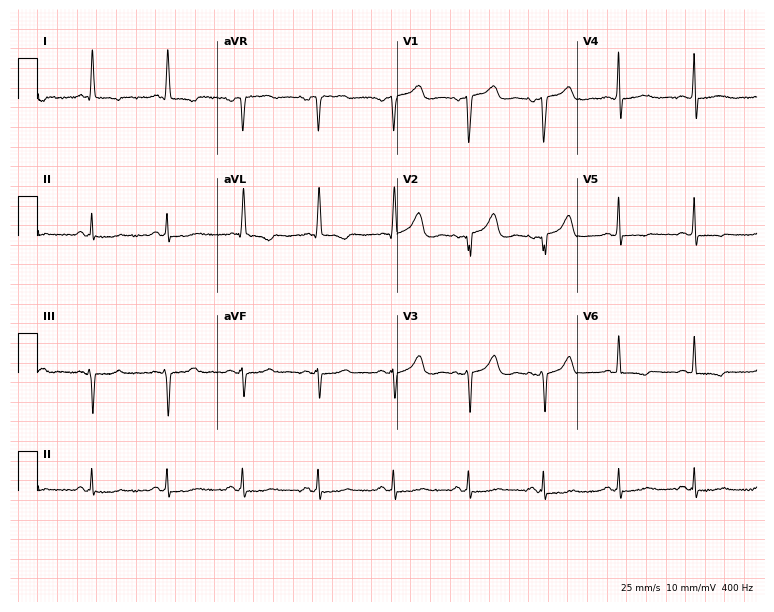
ECG — a female, 71 years old. Screened for six findings — first-degree AV block, right bundle branch block (RBBB), left bundle branch block (LBBB), sinus bradycardia, atrial fibrillation (AF), sinus tachycardia — none is recorded. Only these six findings were labelled.